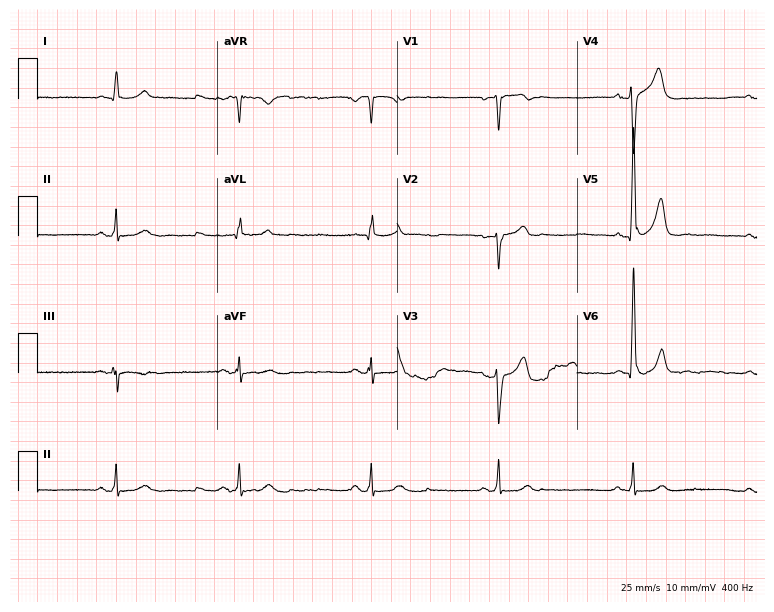
Standard 12-lead ECG recorded from an 82-year-old man (7.3-second recording at 400 Hz). The tracing shows sinus bradycardia (a sinus rate of 50 beats per minute or less).